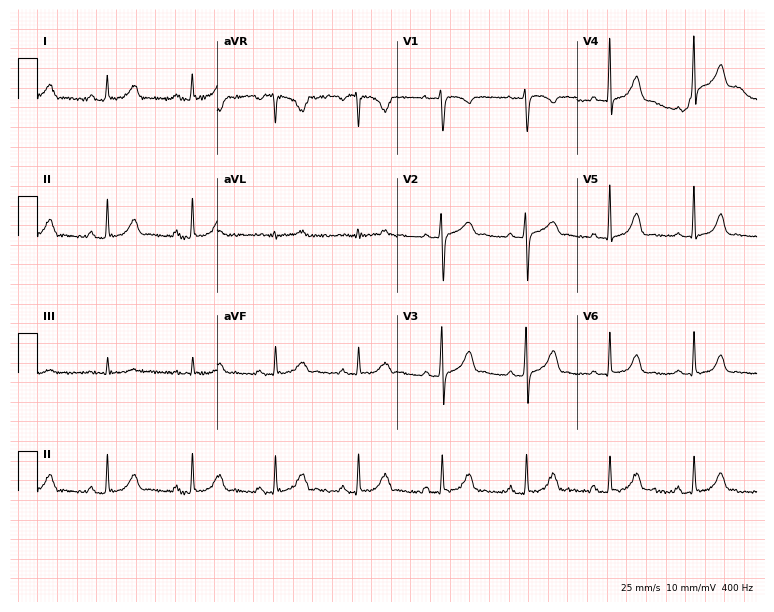
Resting 12-lead electrocardiogram. Patient: a female, 33 years old. Read as a normal ECG.